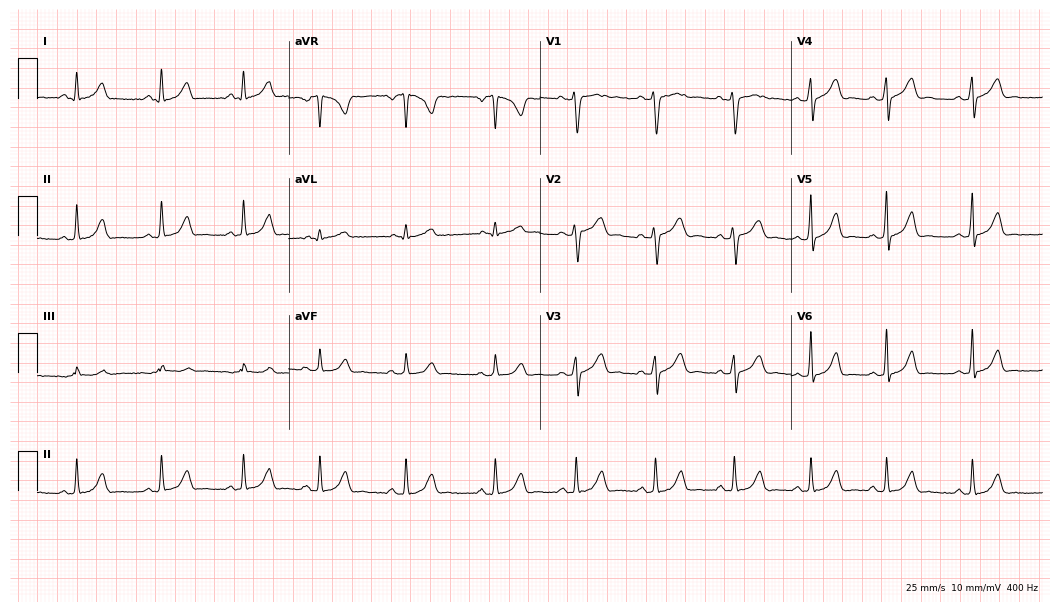
12-lead ECG (10.2-second recording at 400 Hz) from a female, 22 years old. Labelled as a normal ECG.